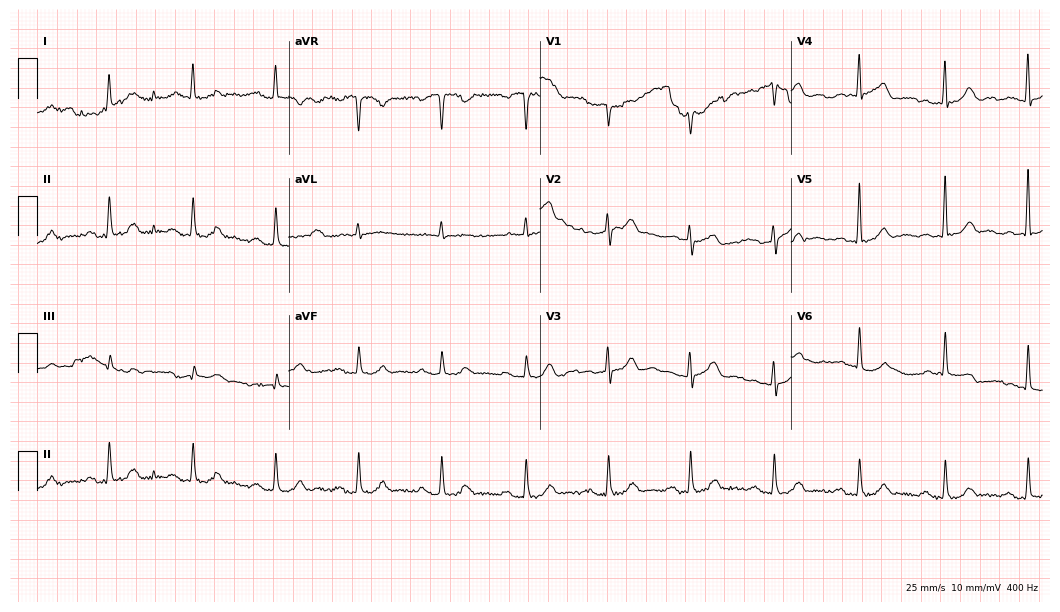
Standard 12-lead ECG recorded from a male patient, 77 years old. None of these six findings is recorded: first-degree AV block, right bundle branch block (RBBB), left bundle branch block (LBBB), sinus bradycardia, atrial fibrillation (AF), sinus tachycardia.